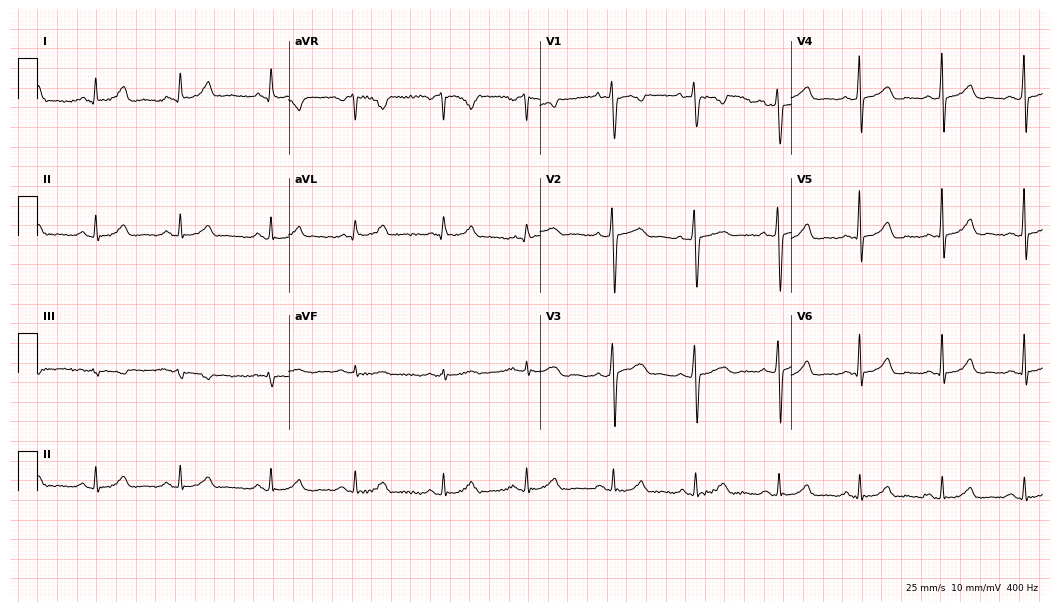
12-lead ECG from a 45-year-old female patient. Recorded interpretation: within normal limits.